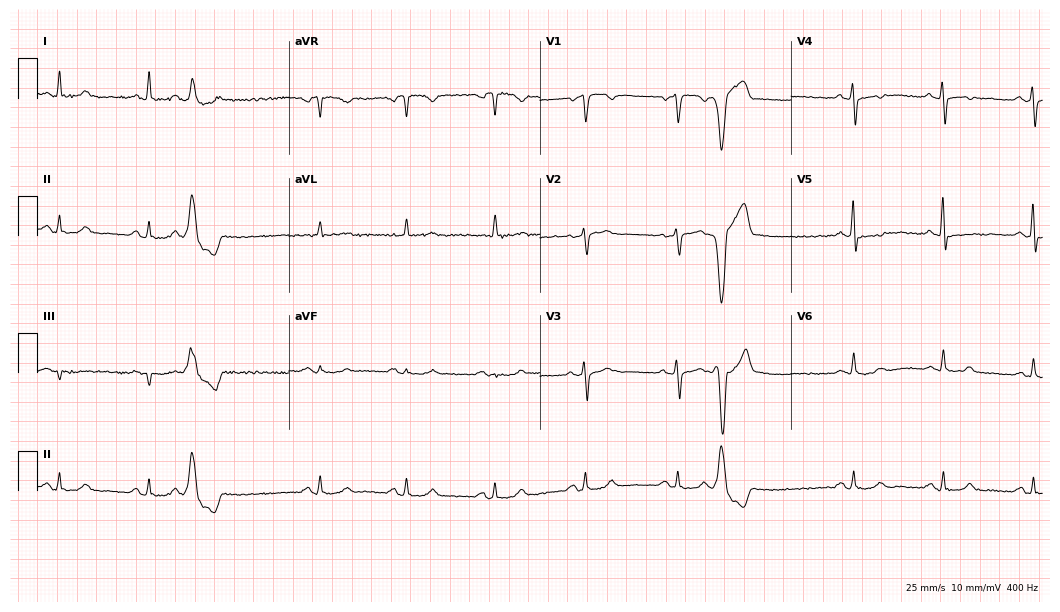
12-lead ECG from a 61-year-old male patient. Screened for six findings — first-degree AV block, right bundle branch block, left bundle branch block, sinus bradycardia, atrial fibrillation, sinus tachycardia — none is recorded. Findings outside these six are not listed.